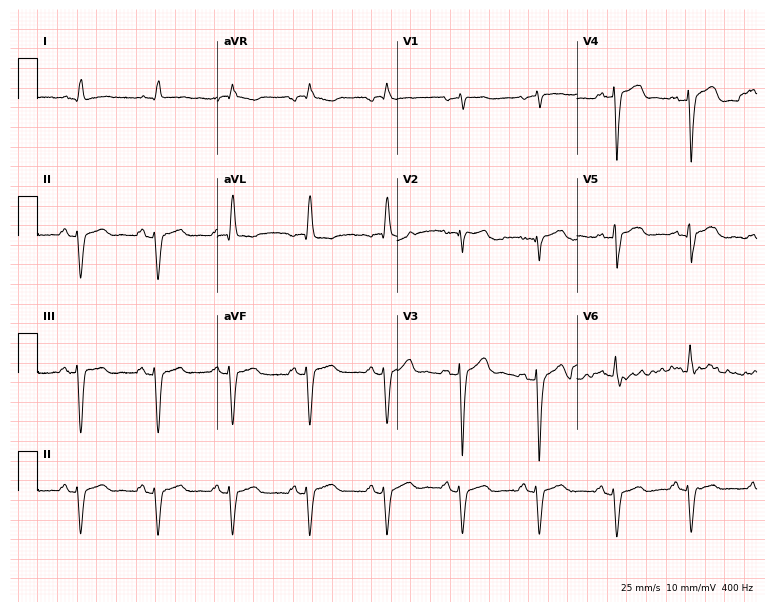
12-lead ECG from a 72-year-old male patient. No first-degree AV block, right bundle branch block, left bundle branch block, sinus bradycardia, atrial fibrillation or sinus tachycardia recorded for this tracing.